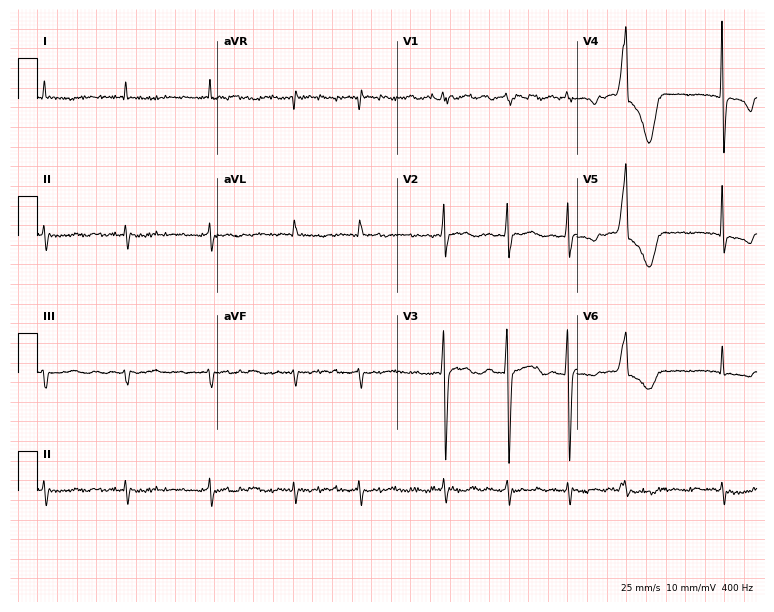
12-lead ECG from an 81-year-old male. Findings include atrial fibrillation.